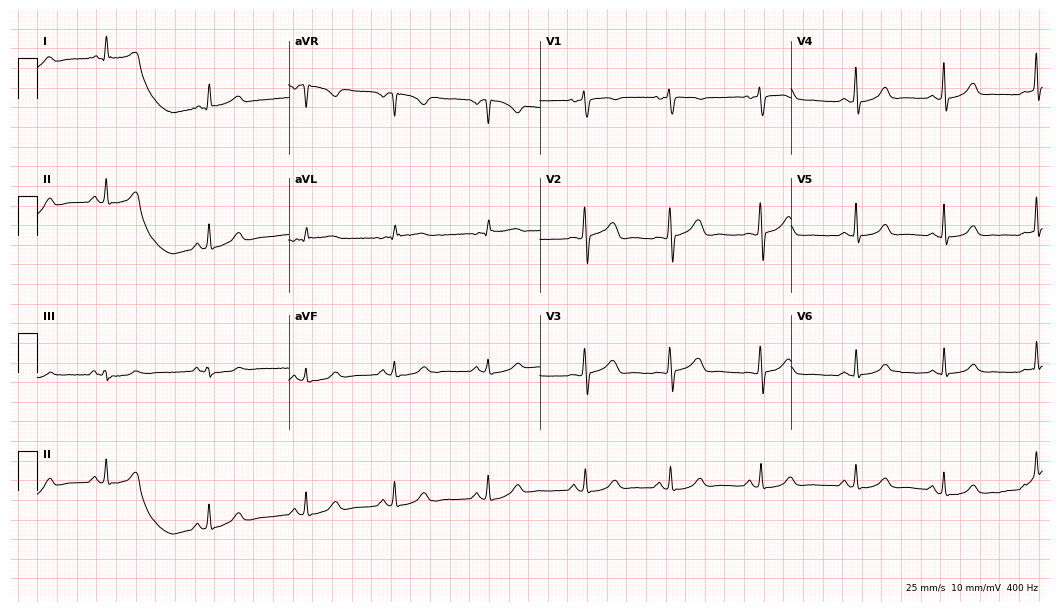
Standard 12-lead ECG recorded from a female, 28 years old. Read as a normal ECG.